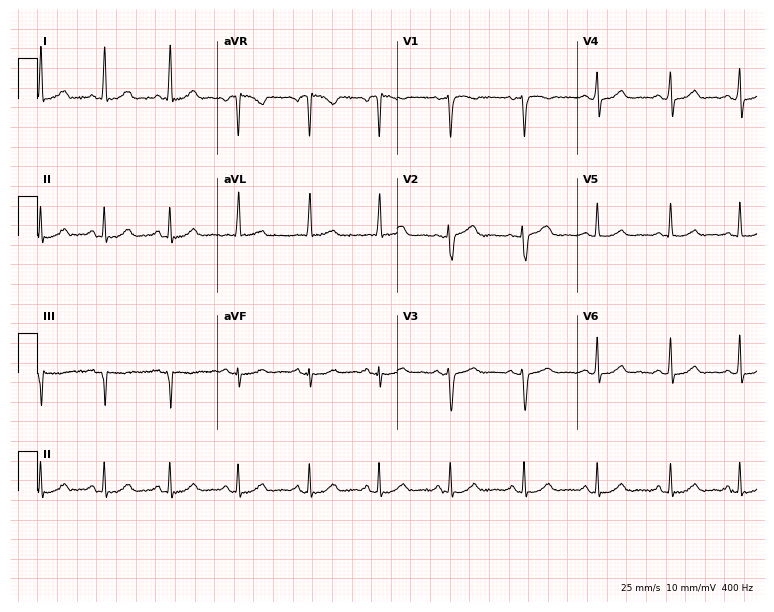
12-lead ECG from a 48-year-old female patient. No first-degree AV block, right bundle branch block (RBBB), left bundle branch block (LBBB), sinus bradycardia, atrial fibrillation (AF) or sinus tachycardia recorded for this tracing.